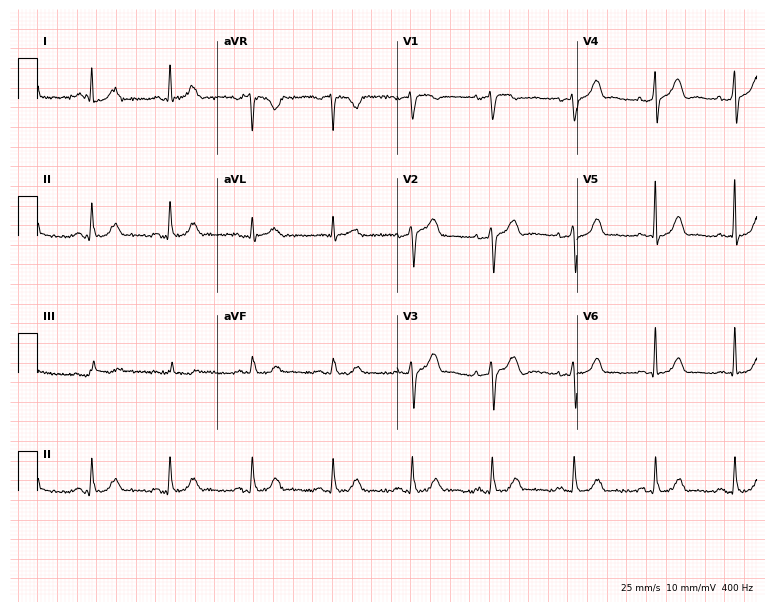
ECG — a 60-year-old woman. Labelled as a normal ECG.